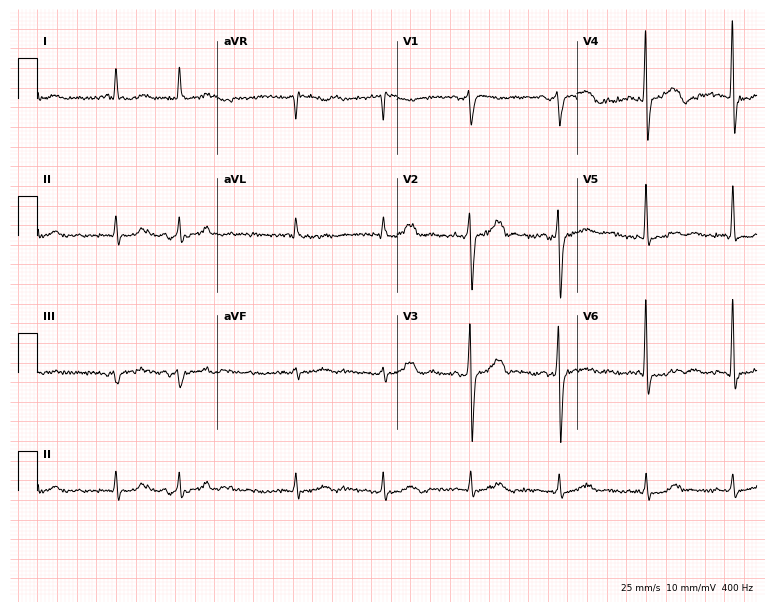
12-lead ECG from an 82-year-old male (7.3-second recording at 400 Hz). No first-degree AV block, right bundle branch block, left bundle branch block, sinus bradycardia, atrial fibrillation or sinus tachycardia recorded for this tracing.